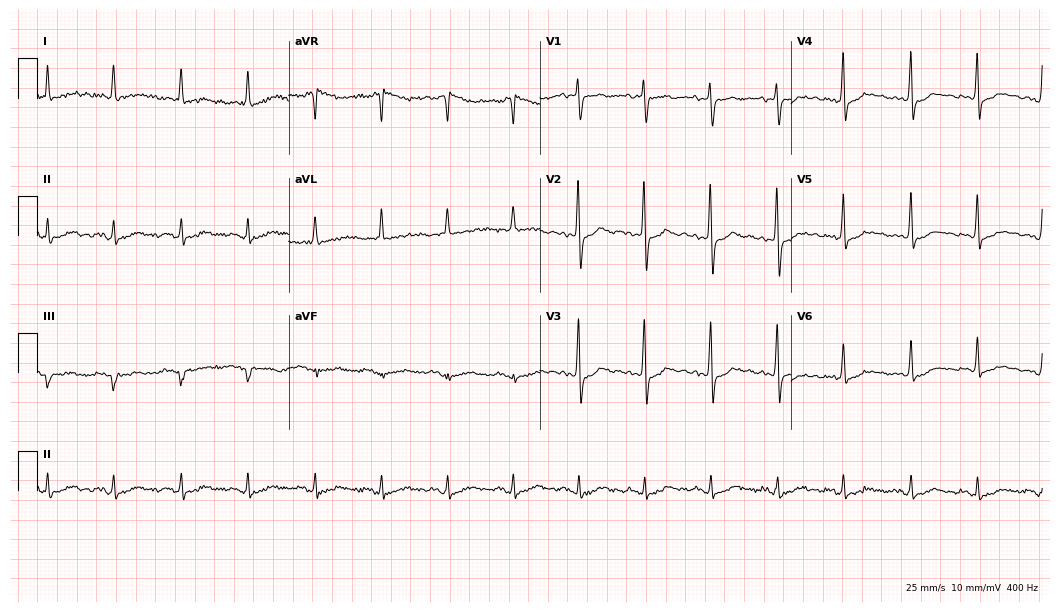
12-lead ECG (10.2-second recording at 400 Hz) from a female patient, 75 years old. Screened for six findings — first-degree AV block, right bundle branch block, left bundle branch block, sinus bradycardia, atrial fibrillation, sinus tachycardia — none is recorded. Other findings, if any, are not listed.